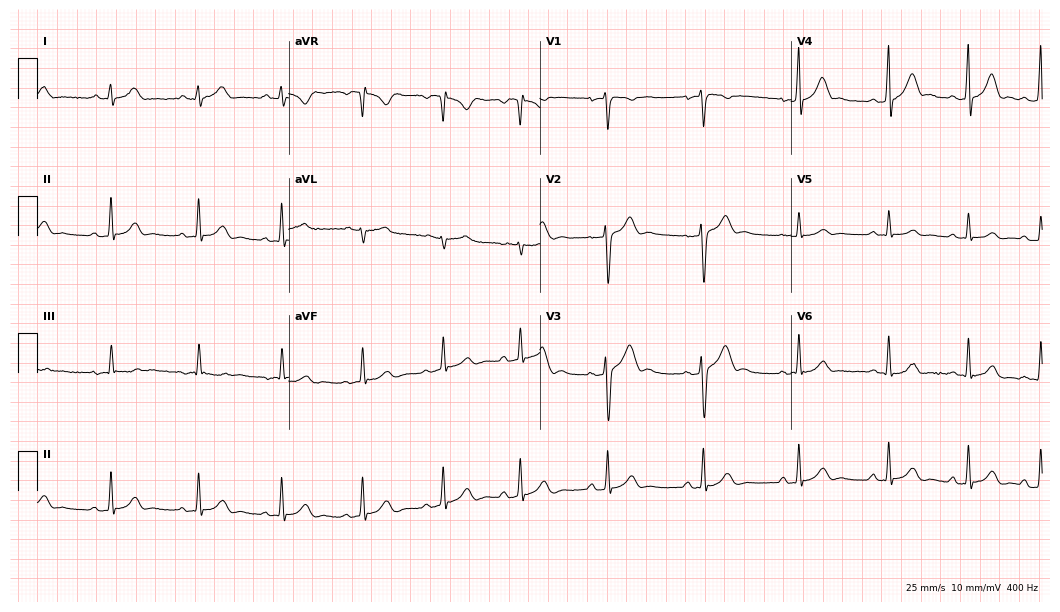
12-lead ECG from a 21-year-old man. No first-degree AV block, right bundle branch block (RBBB), left bundle branch block (LBBB), sinus bradycardia, atrial fibrillation (AF) or sinus tachycardia recorded for this tracing. Findings outside these six are not listed.